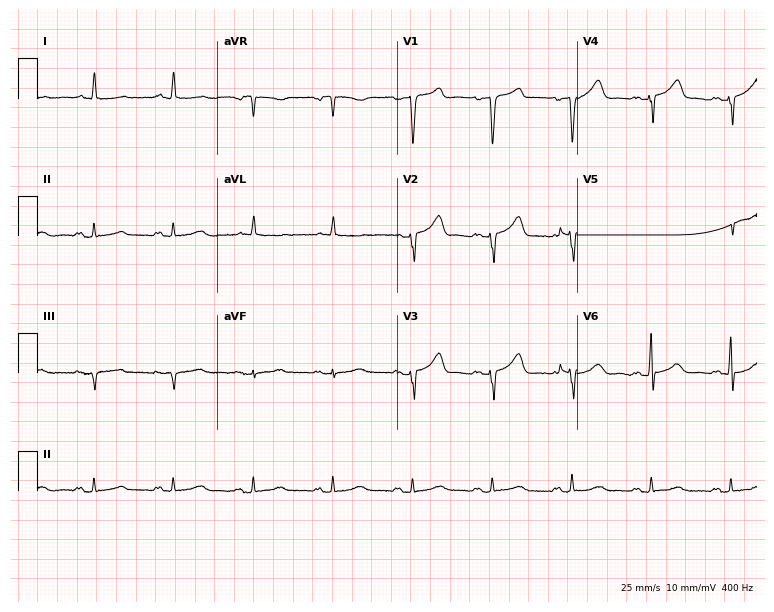
12-lead ECG from a 67-year-old male patient. No first-degree AV block, right bundle branch block (RBBB), left bundle branch block (LBBB), sinus bradycardia, atrial fibrillation (AF) or sinus tachycardia recorded for this tracing. Findings outside these six are not listed.